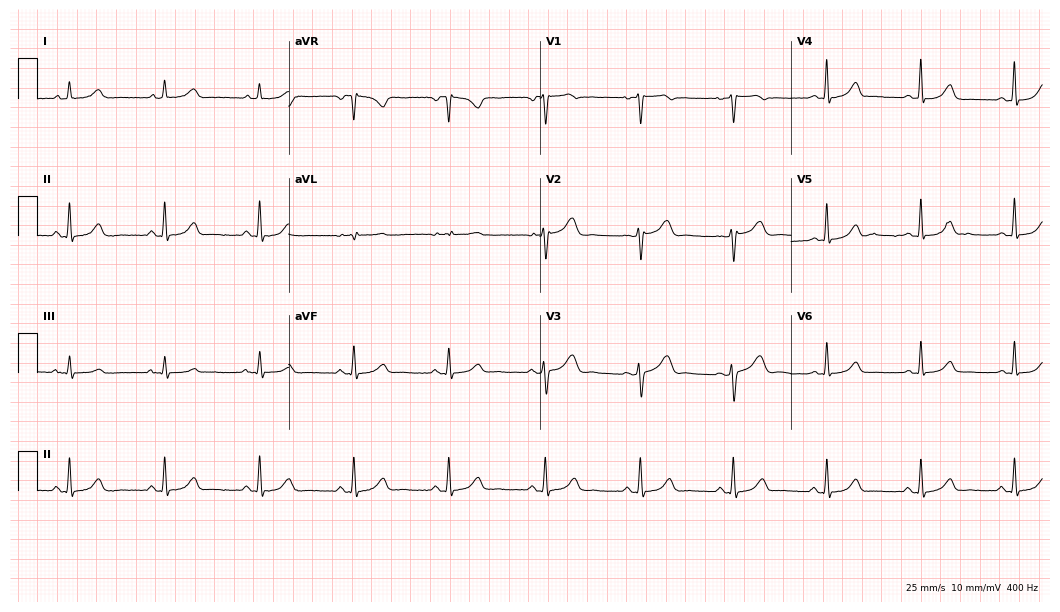
Resting 12-lead electrocardiogram. Patient: a female, 44 years old. Read as a normal ECG.